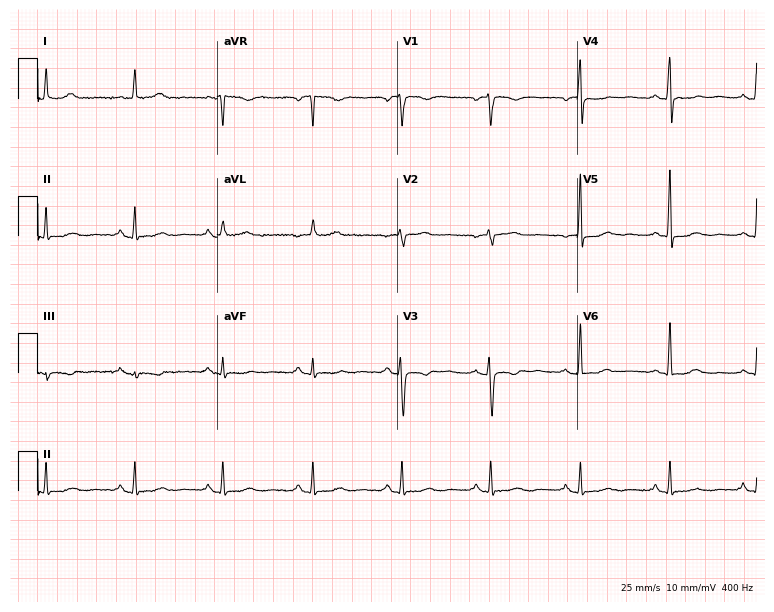
Resting 12-lead electrocardiogram. Patient: a female, 62 years old. None of these six findings is recorded: first-degree AV block, right bundle branch block, left bundle branch block, sinus bradycardia, atrial fibrillation, sinus tachycardia. Findings outside these six are not listed.